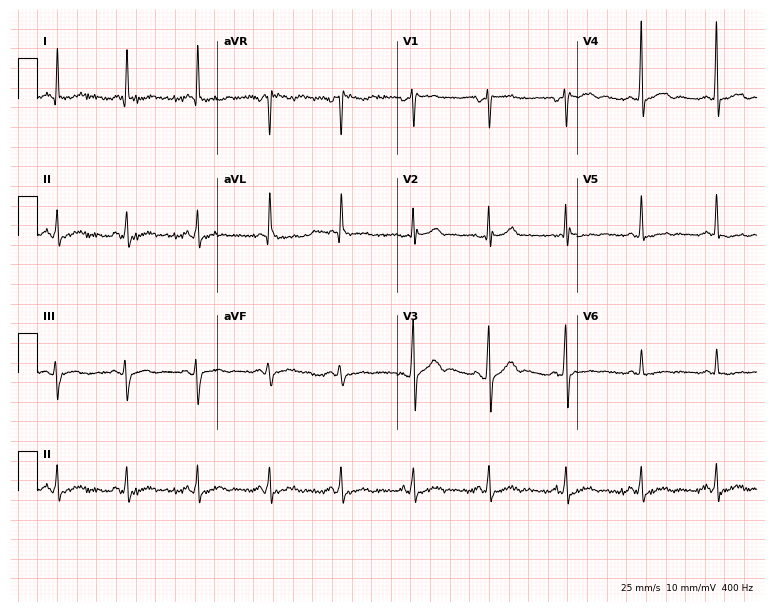
12-lead ECG (7.3-second recording at 400 Hz) from a male, 44 years old. Screened for six findings — first-degree AV block, right bundle branch block, left bundle branch block, sinus bradycardia, atrial fibrillation, sinus tachycardia — none is recorded.